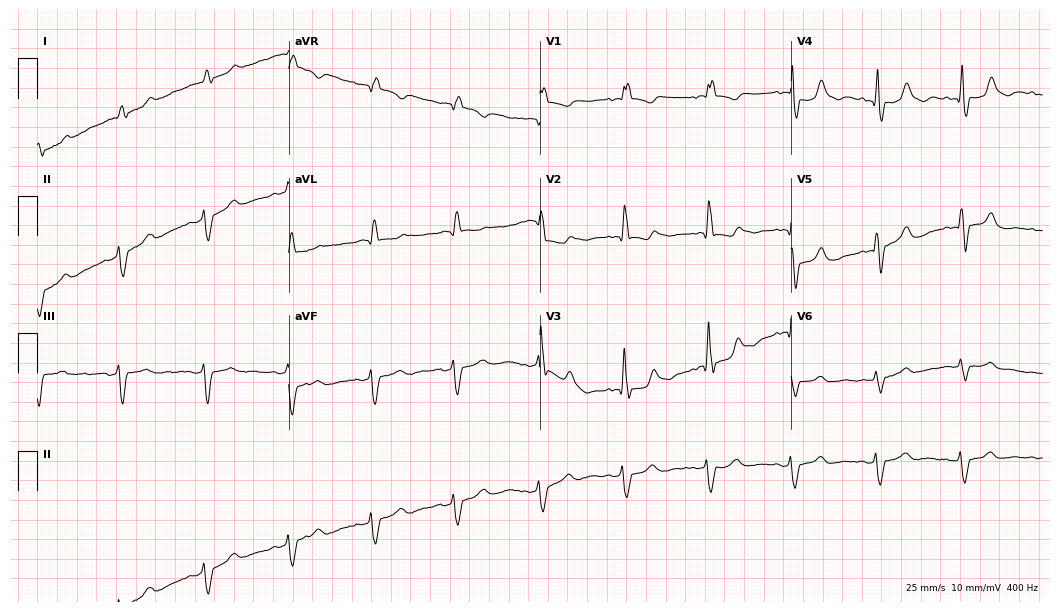
Standard 12-lead ECG recorded from an 84-year-old man. None of these six findings is recorded: first-degree AV block, right bundle branch block, left bundle branch block, sinus bradycardia, atrial fibrillation, sinus tachycardia.